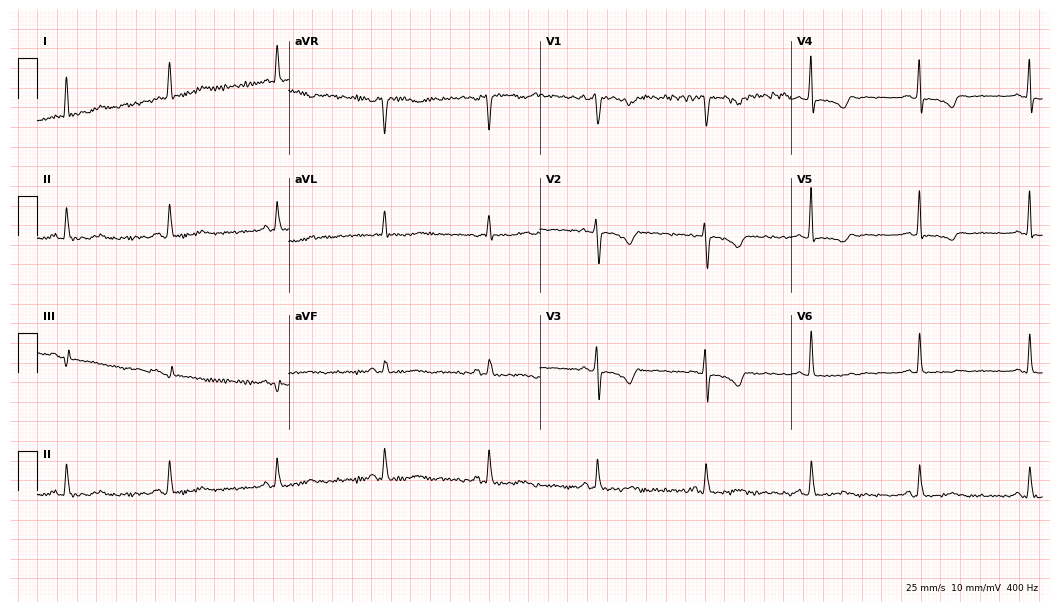
12-lead ECG from a female patient, 64 years old (10.2-second recording at 400 Hz). No first-degree AV block, right bundle branch block, left bundle branch block, sinus bradycardia, atrial fibrillation or sinus tachycardia recorded for this tracing.